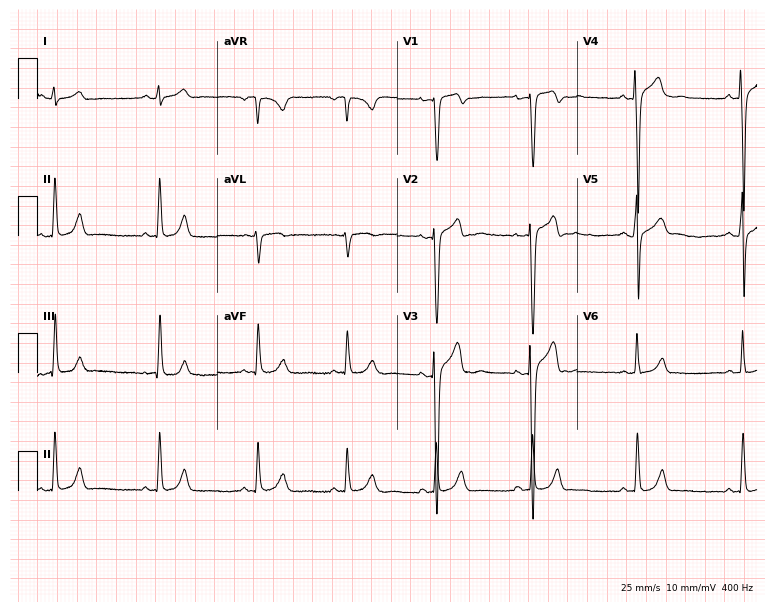
Electrocardiogram (7.3-second recording at 400 Hz), a male patient, 23 years old. Overall reading on record: normal ECG.